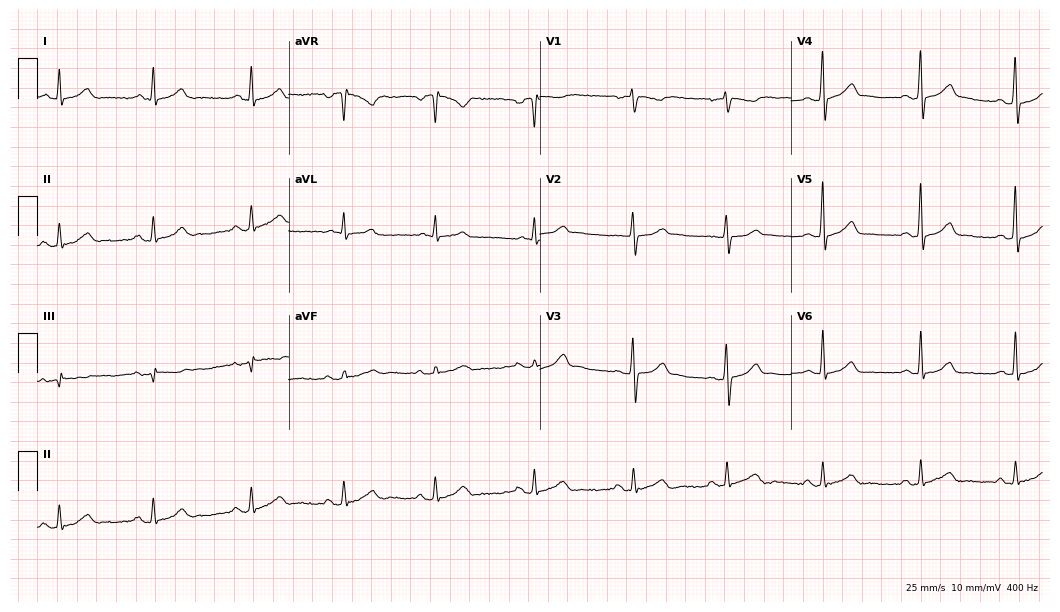
Electrocardiogram, a 38-year-old man. Overall reading on record: normal ECG.